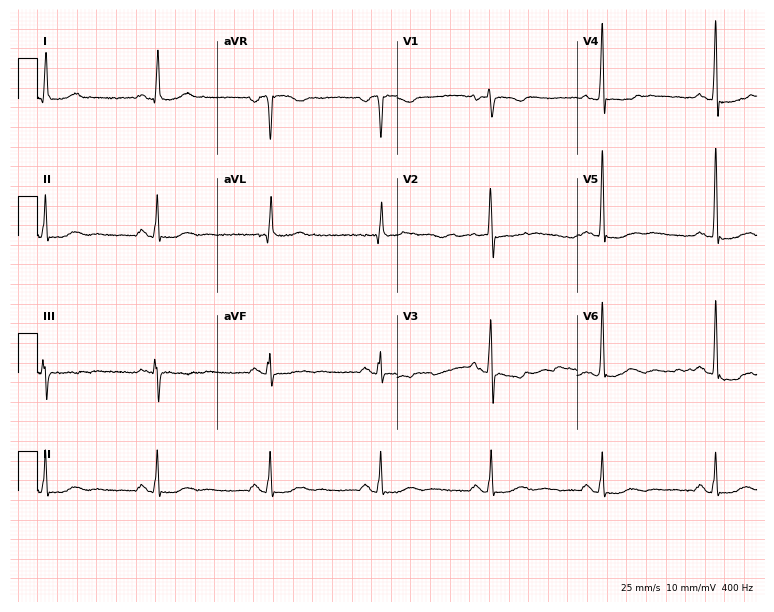
ECG — a 71-year-old female. Screened for six findings — first-degree AV block, right bundle branch block, left bundle branch block, sinus bradycardia, atrial fibrillation, sinus tachycardia — none is recorded. Only these six findings were labelled.